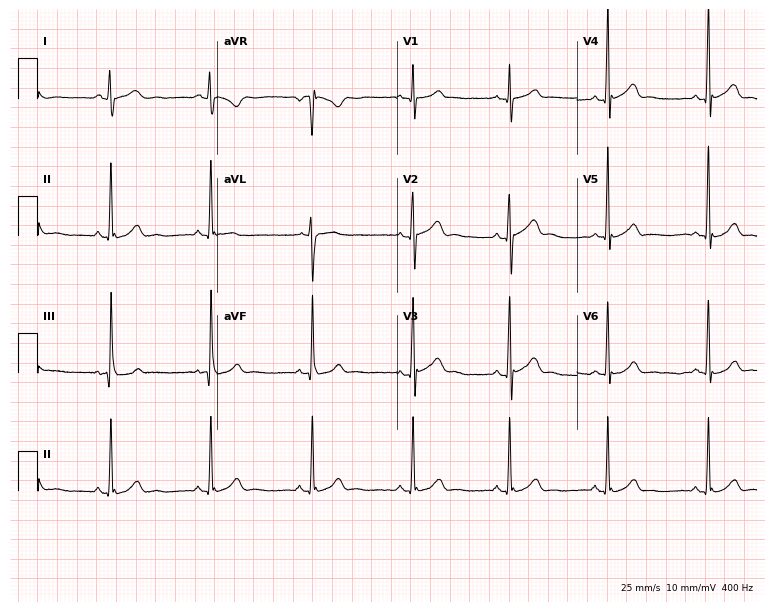
Electrocardiogram (7.3-second recording at 400 Hz), a man, 25 years old. Of the six screened findings (first-degree AV block, right bundle branch block, left bundle branch block, sinus bradycardia, atrial fibrillation, sinus tachycardia), none is recorded. Other findings, if any, are not listed.